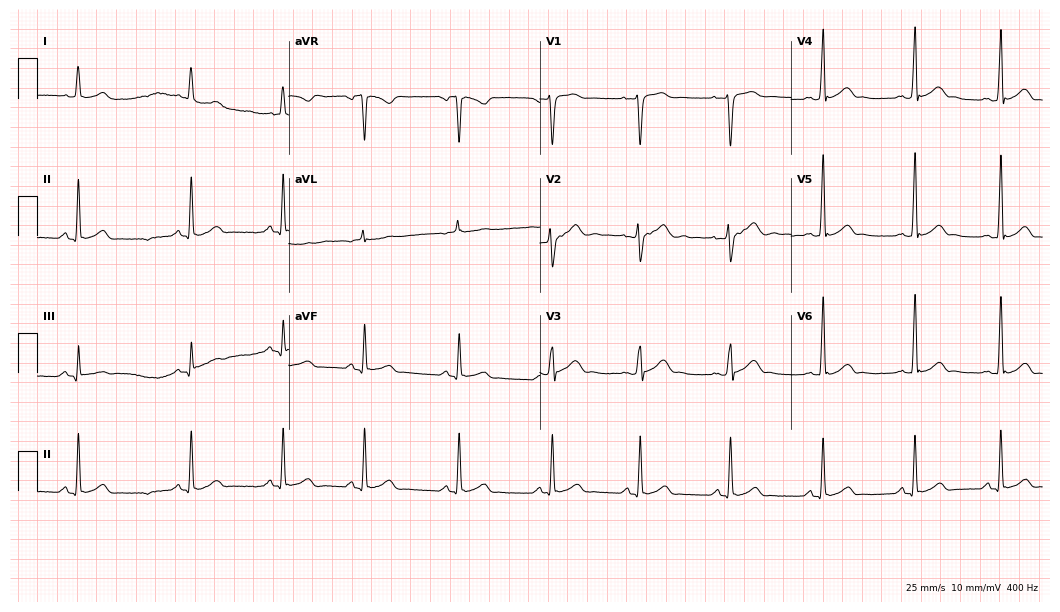
Resting 12-lead electrocardiogram (10.2-second recording at 400 Hz). Patient: a male, 22 years old. Read as a normal ECG.